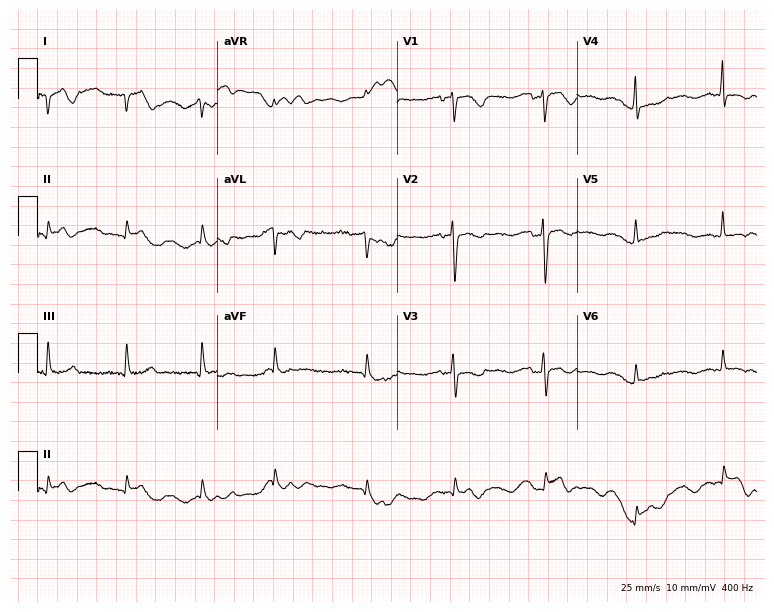
Standard 12-lead ECG recorded from a woman, 59 years old. None of these six findings is recorded: first-degree AV block, right bundle branch block, left bundle branch block, sinus bradycardia, atrial fibrillation, sinus tachycardia. Other findings, if any, are not listed.